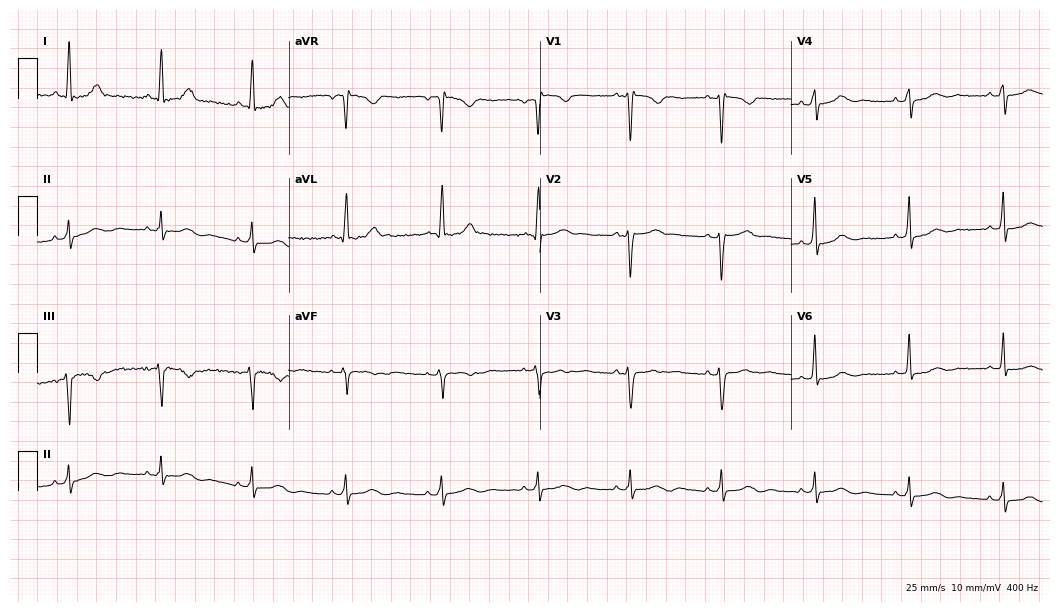
12-lead ECG from a female patient, 32 years old. No first-degree AV block, right bundle branch block, left bundle branch block, sinus bradycardia, atrial fibrillation or sinus tachycardia recorded for this tracing.